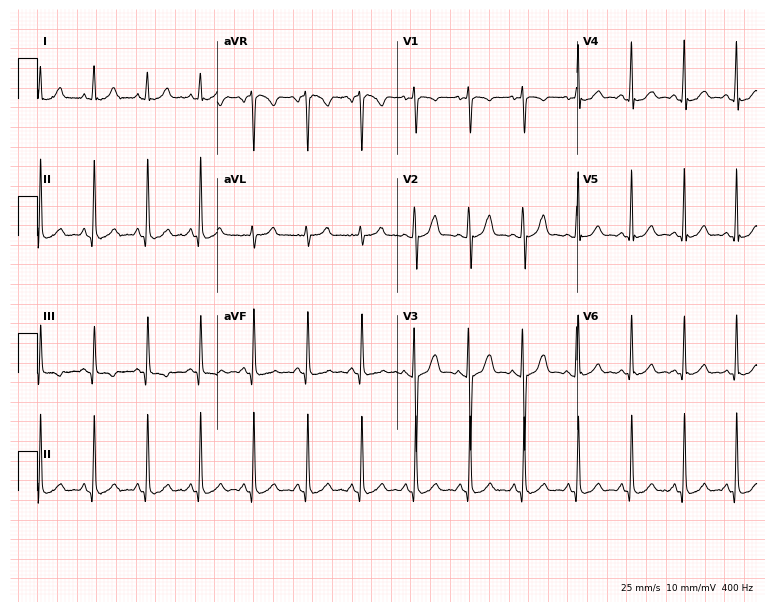
12-lead ECG from an 18-year-old female patient (7.3-second recording at 400 Hz). Shows sinus tachycardia (a sinus rate of 100 beats per minute or more).